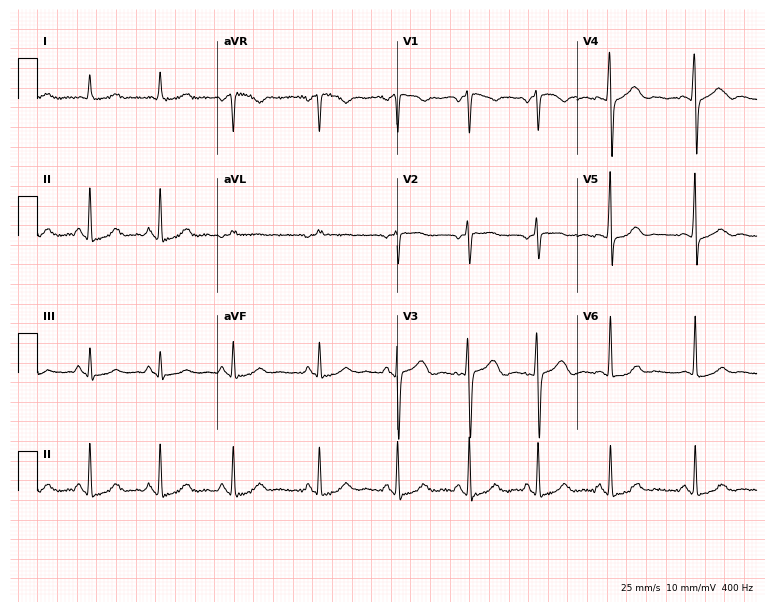
12-lead ECG from a 41-year-old female patient (7.3-second recording at 400 Hz). No first-degree AV block, right bundle branch block (RBBB), left bundle branch block (LBBB), sinus bradycardia, atrial fibrillation (AF) or sinus tachycardia recorded for this tracing. Other findings, if any, are not listed.